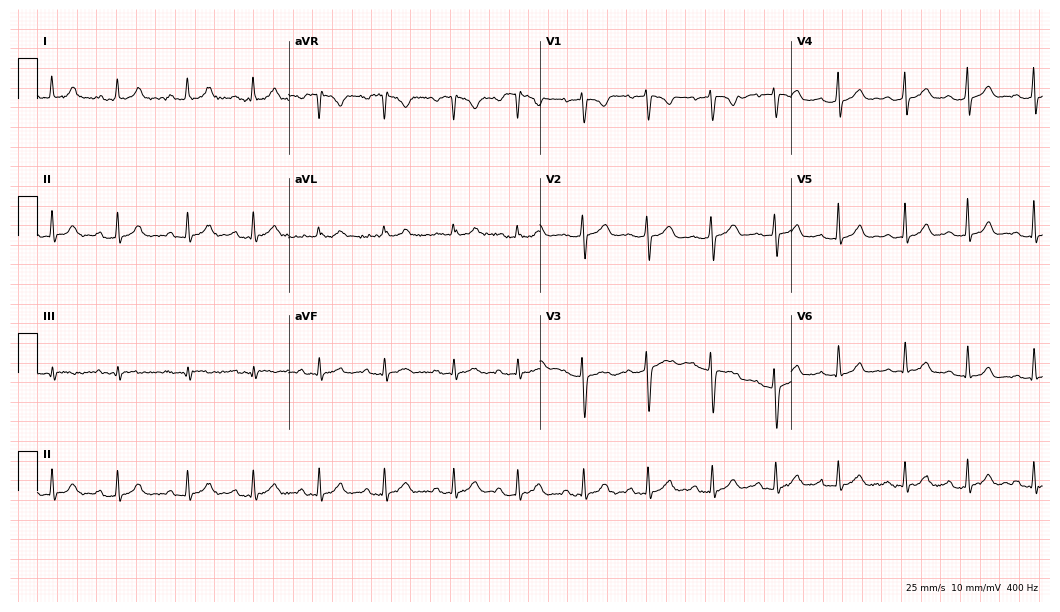
12-lead ECG from a 23-year-old female (10.2-second recording at 400 Hz). Recorded interpretation: within normal limits.